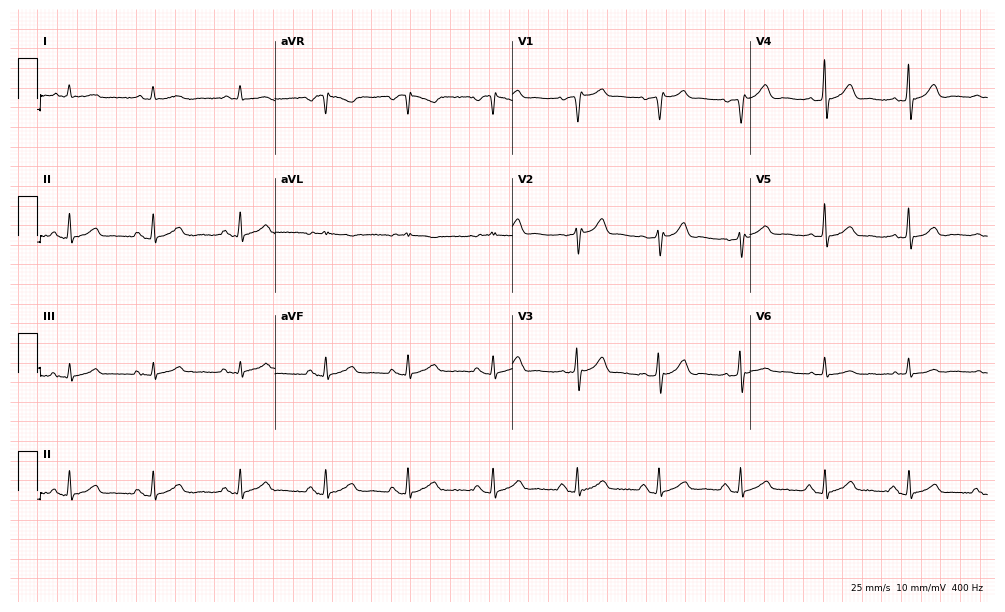
ECG — a male patient, 67 years old. Labelled as a normal ECG.